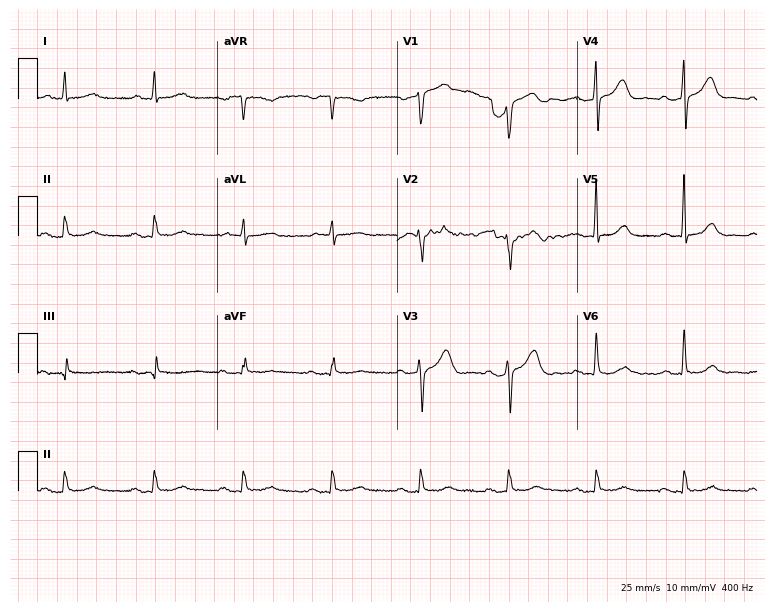
Standard 12-lead ECG recorded from a man, 62 years old. The tracing shows first-degree AV block.